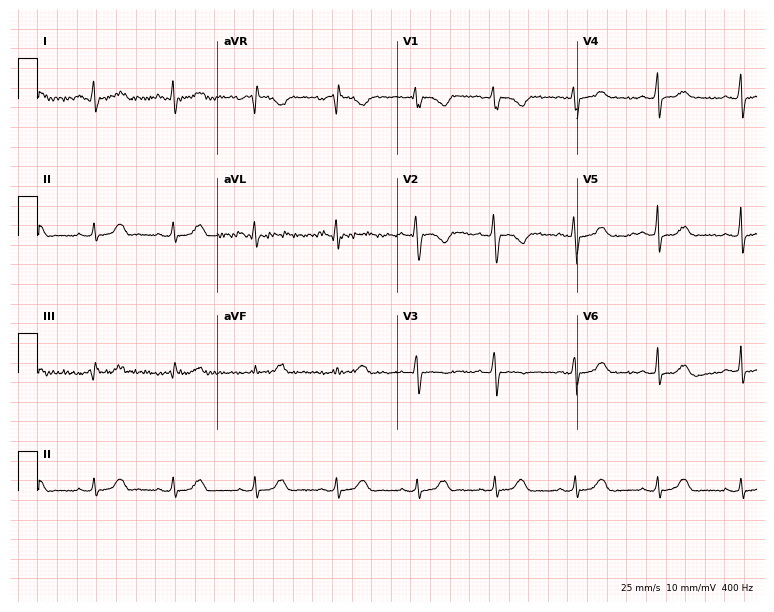
ECG — a female, 28 years old. Screened for six findings — first-degree AV block, right bundle branch block (RBBB), left bundle branch block (LBBB), sinus bradycardia, atrial fibrillation (AF), sinus tachycardia — none is recorded. Only these six findings were labelled.